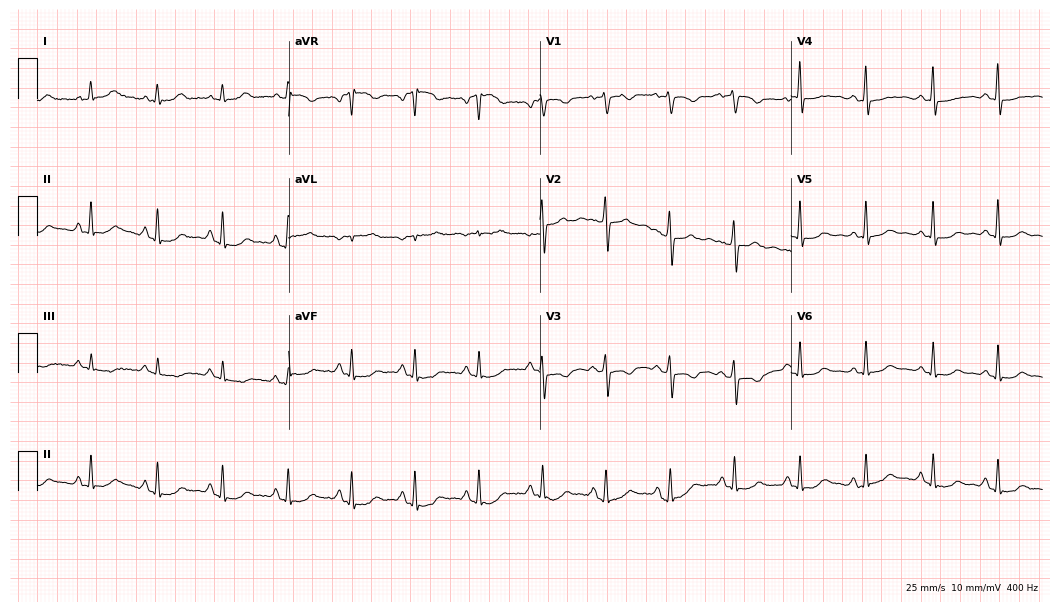
12-lead ECG (10.2-second recording at 400 Hz) from a woman, 41 years old. Screened for six findings — first-degree AV block, right bundle branch block (RBBB), left bundle branch block (LBBB), sinus bradycardia, atrial fibrillation (AF), sinus tachycardia — none is recorded. Only these six findings were labelled.